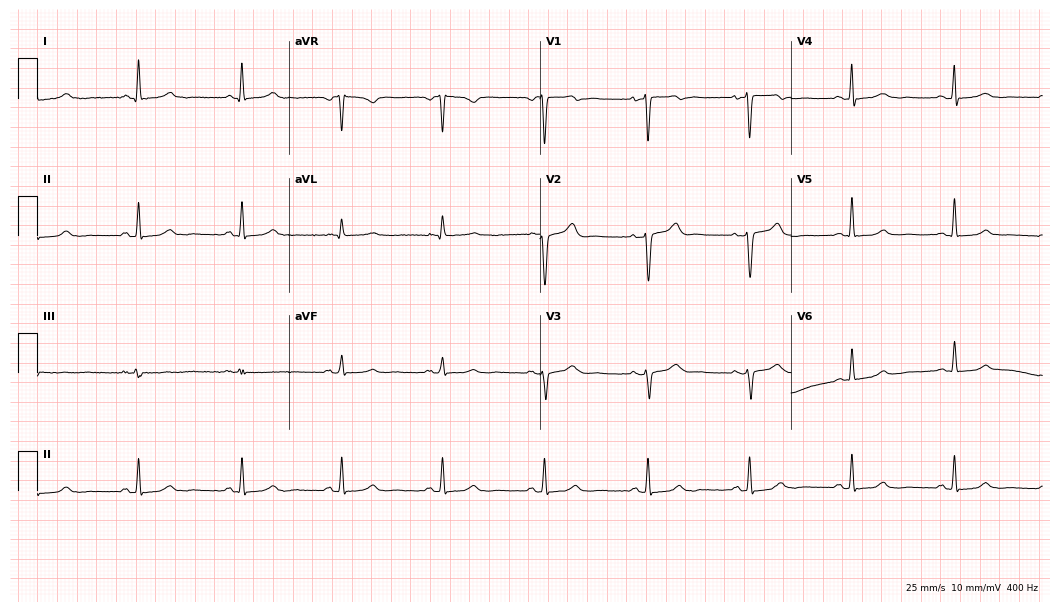
Standard 12-lead ECG recorded from a woman, 48 years old (10.2-second recording at 400 Hz). None of these six findings is recorded: first-degree AV block, right bundle branch block, left bundle branch block, sinus bradycardia, atrial fibrillation, sinus tachycardia.